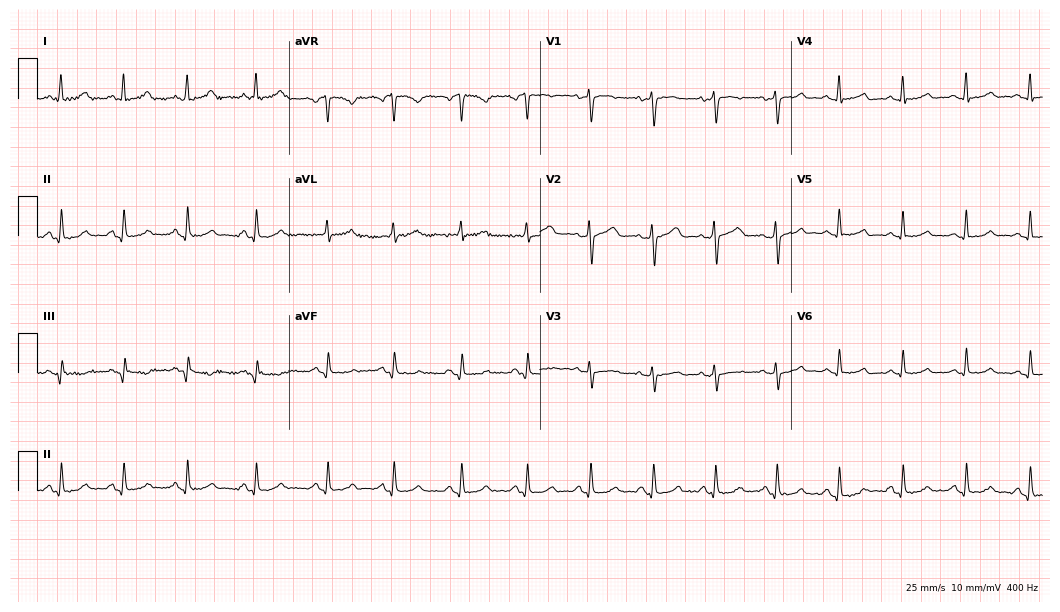
12-lead ECG from a 38-year-old woman. Recorded interpretation: within normal limits.